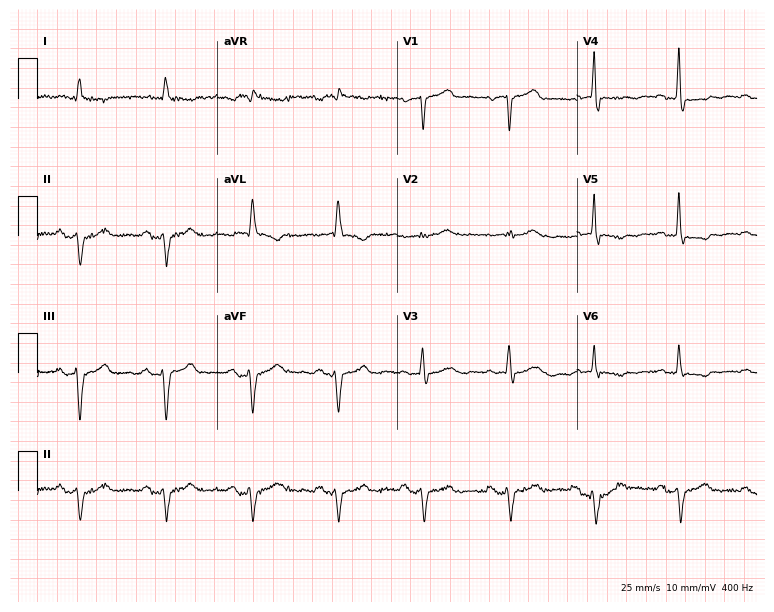
12-lead ECG (7.3-second recording at 400 Hz) from a man, 80 years old. Screened for six findings — first-degree AV block, right bundle branch block, left bundle branch block, sinus bradycardia, atrial fibrillation, sinus tachycardia — none is recorded.